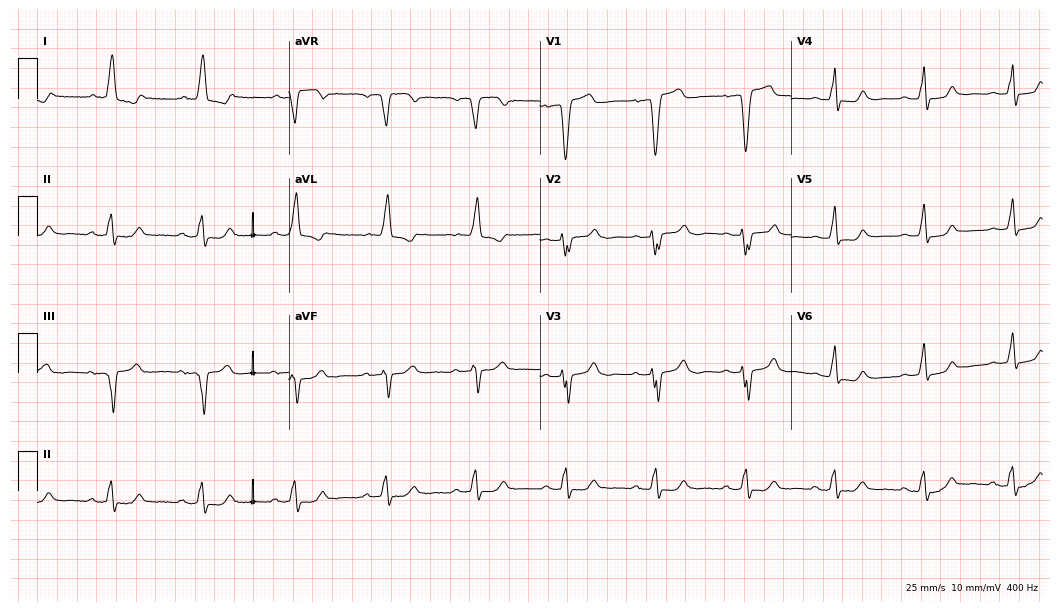
Electrocardiogram, a female, 79 years old. Interpretation includes left bundle branch block.